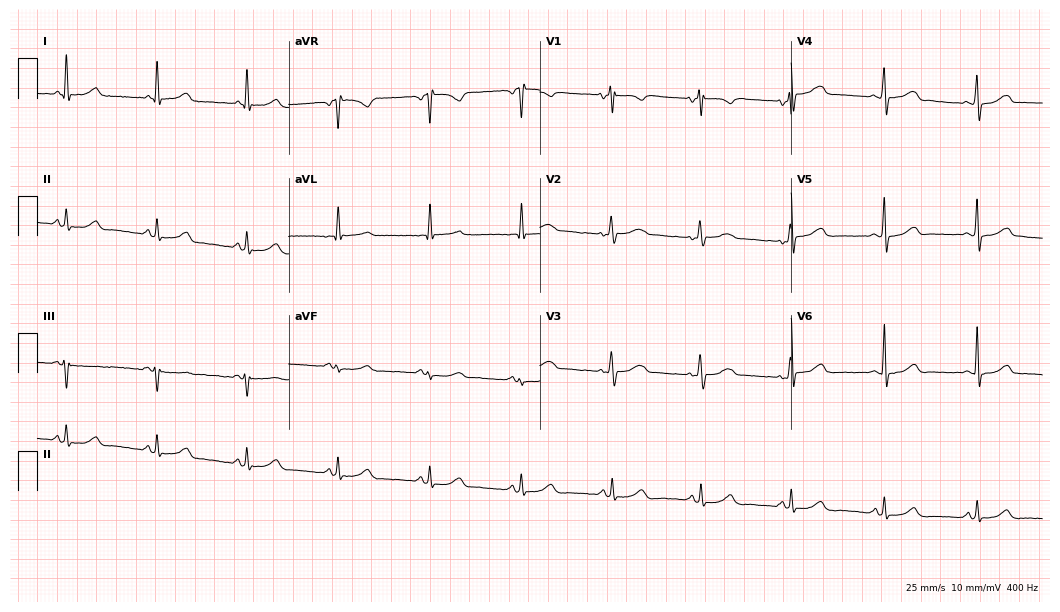
Standard 12-lead ECG recorded from a 54-year-old female. Read as a normal ECG.